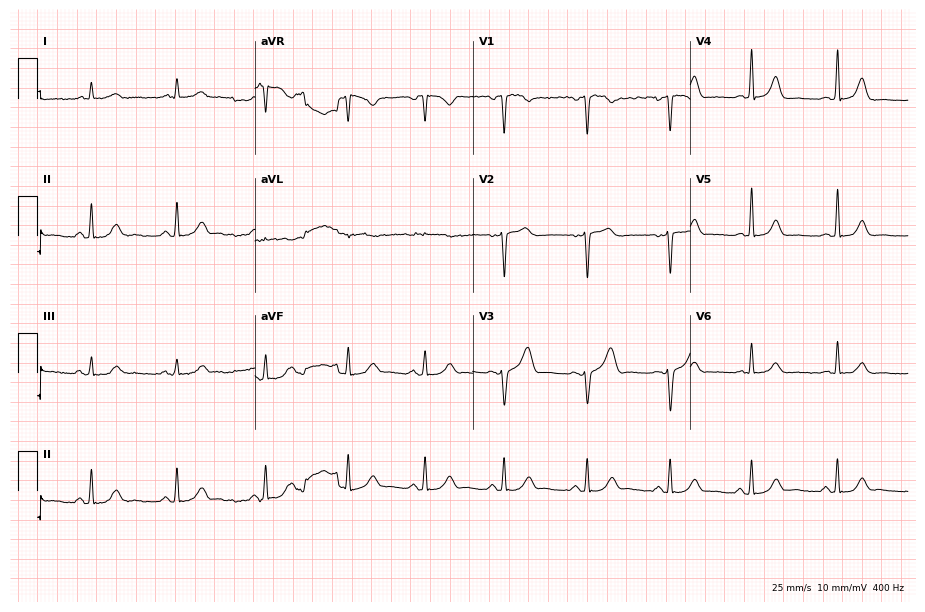
Standard 12-lead ECG recorded from a female, 32 years old (8.9-second recording at 400 Hz). Read as a normal ECG.